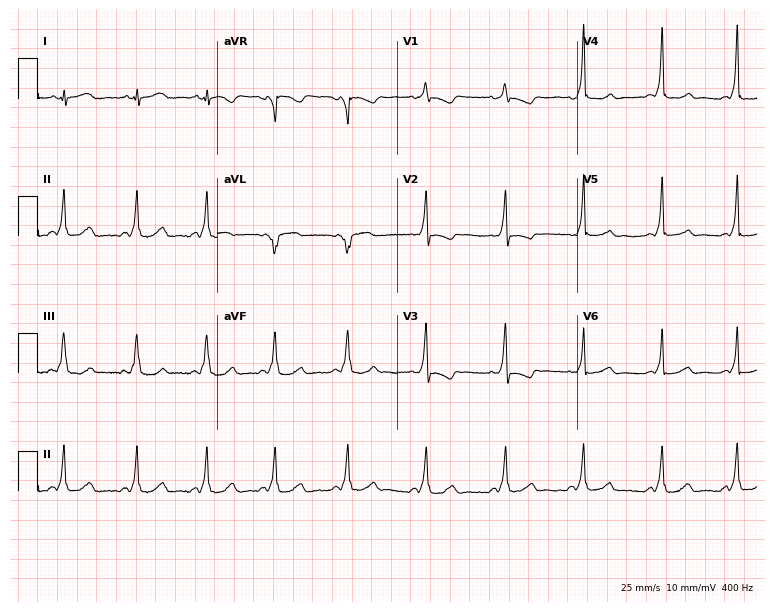
ECG (7.3-second recording at 400 Hz) — a female patient, 40 years old. Screened for six findings — first-degree AV block, right bundle branch block, left bundle branch block, sinus bradycardia, atrial fibrillation, sinus tachycardia — none is recorded.